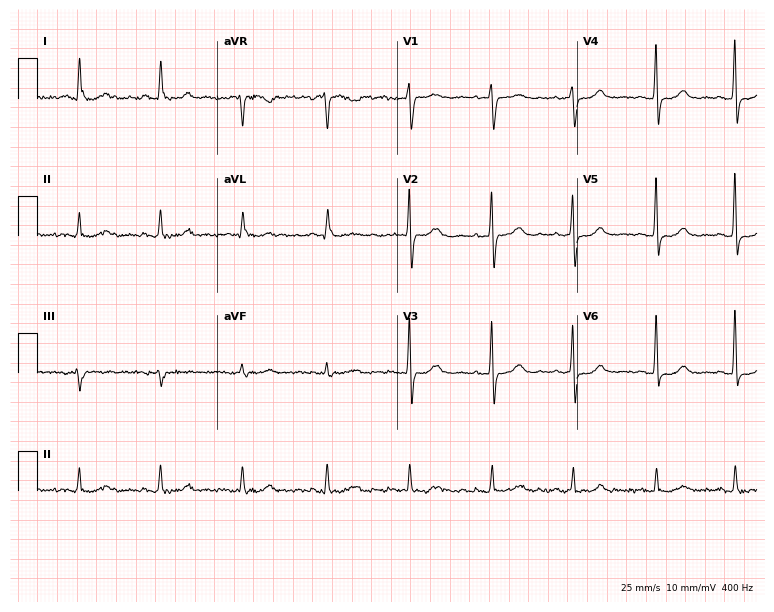
ECG (7.3-second recording at 400 Hz) — a 78-year-old female patient. Labelled as a normal ECG.